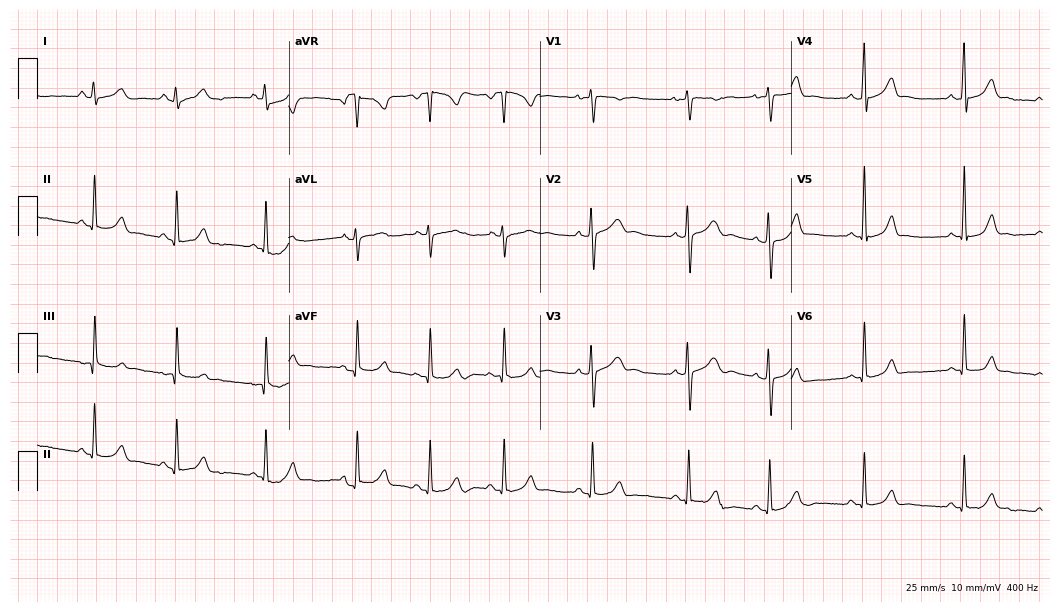
12-lead ECG from a 17-year-old woman. Labelled as a normal ECG.